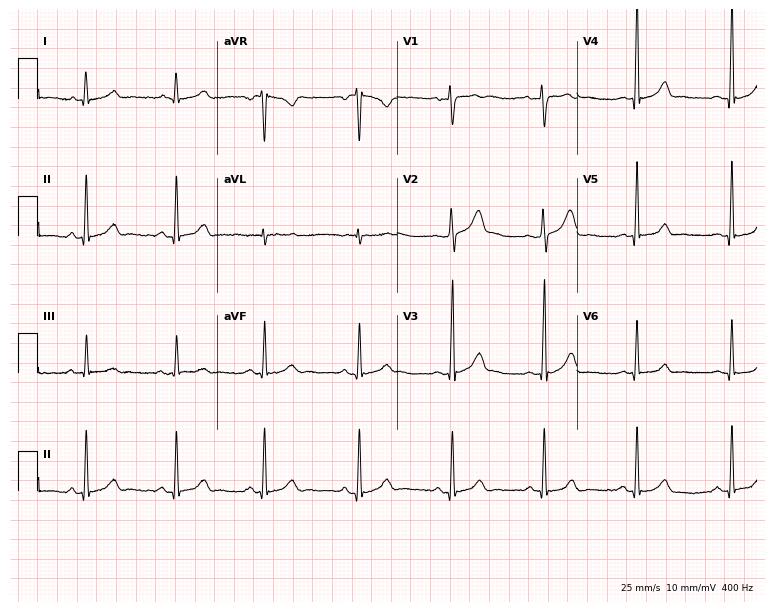
12-lead ECG (7.3-second recording at 400 Hz) from a 35-year-old man. Labelled as a normal ECG.